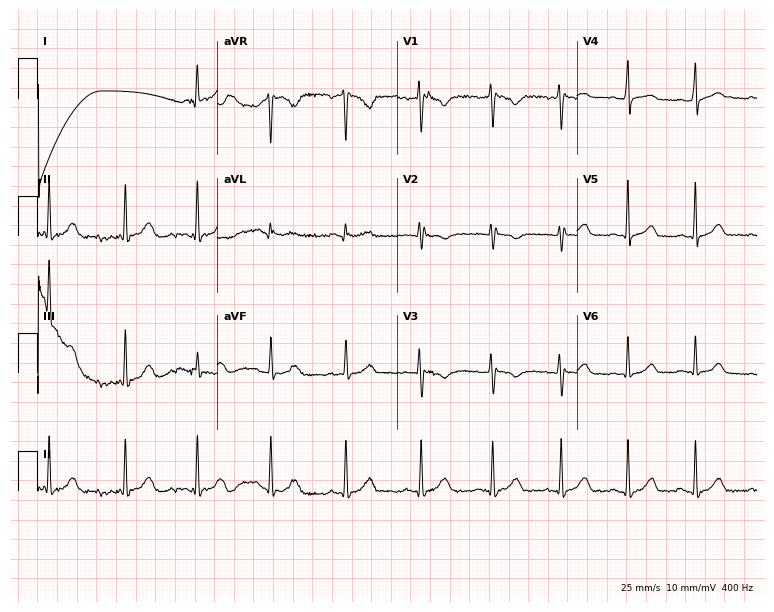
12-lead ECG from an 18-year-old female patient (7.3-second recording at 400 Hz). No first-degree AV block, right bundle branch block, left bundle branch block, sinus bradycardia, atrial fibrillation or sinus tachycardia recorded for this tracing. Only these six findings were labelled.